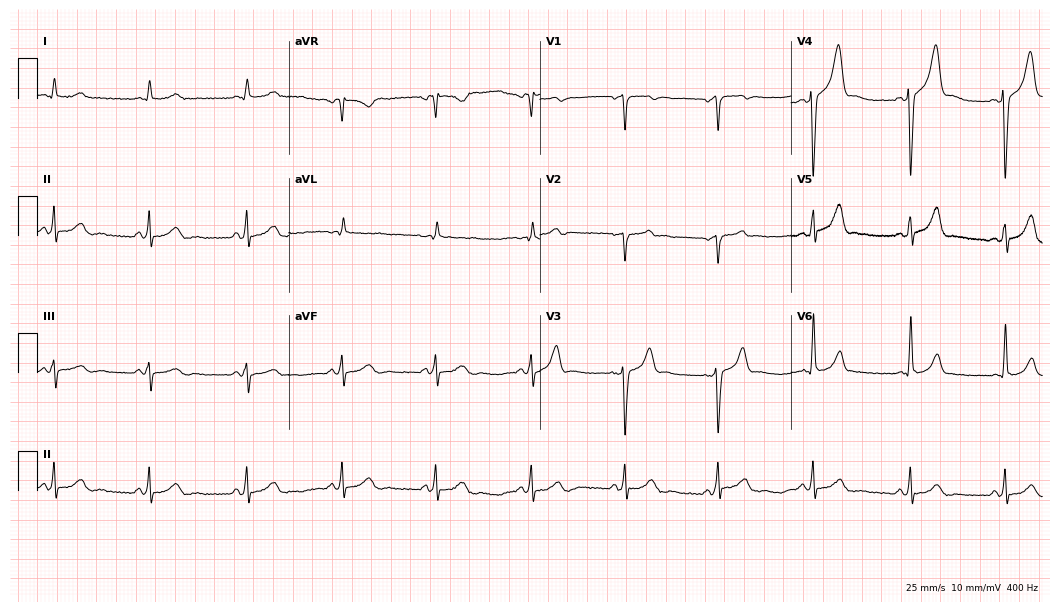
12-lead ECG (10.2-second recording at 400 Hz) from a man, 75 years old. Labelled as a normal ECG.